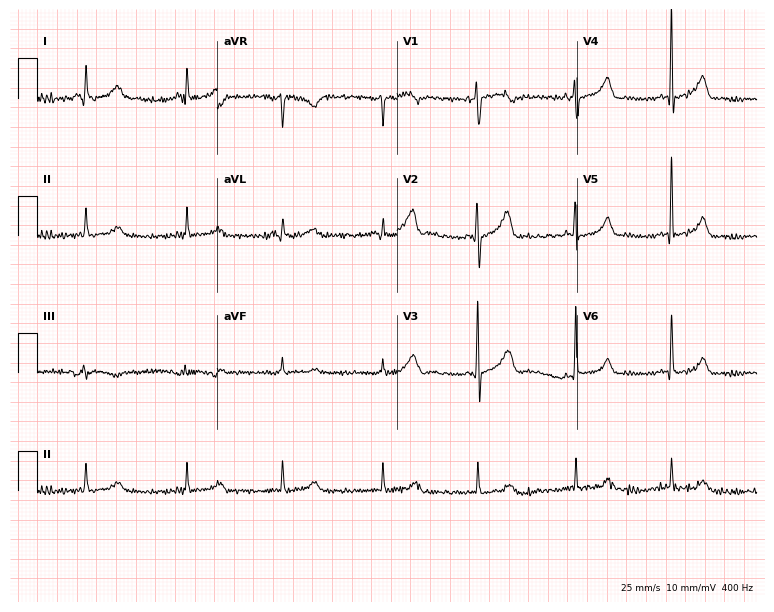
Electrocardiogram (7.3-second recording at 400 Hz), a male patient, 44 years old. Of the six screened findings (first-degree AV block, right bundle branch block, left bundle branch block, sinus bradycardia, atrial fibrillation, sinus tachycardia), none is recorded.